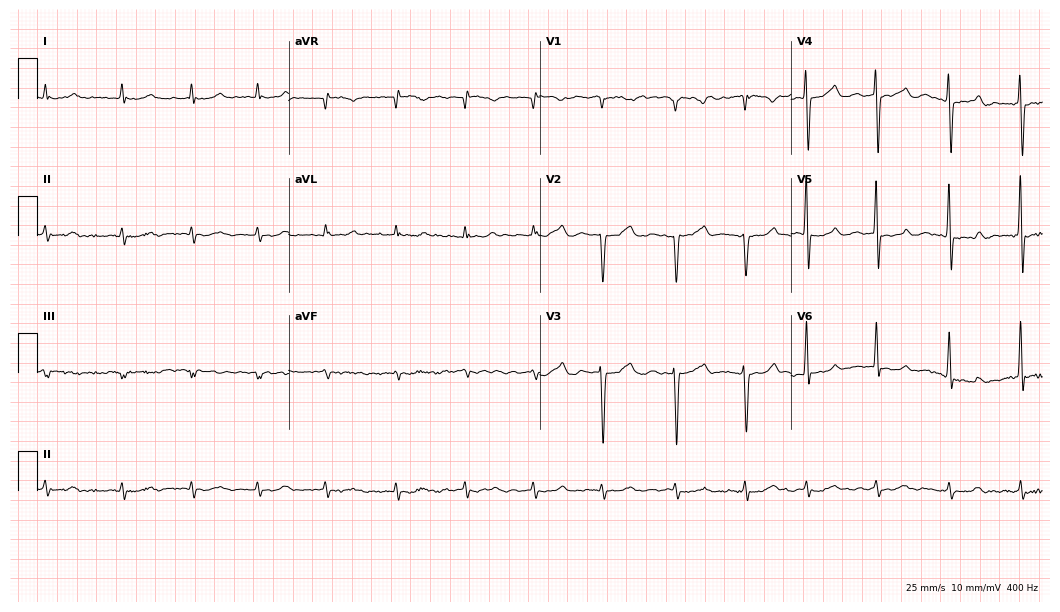
ECG (10.2-second recording at 400 Hz) — a male patient, 83 years old. Findings include atrial fibrillation (AF).